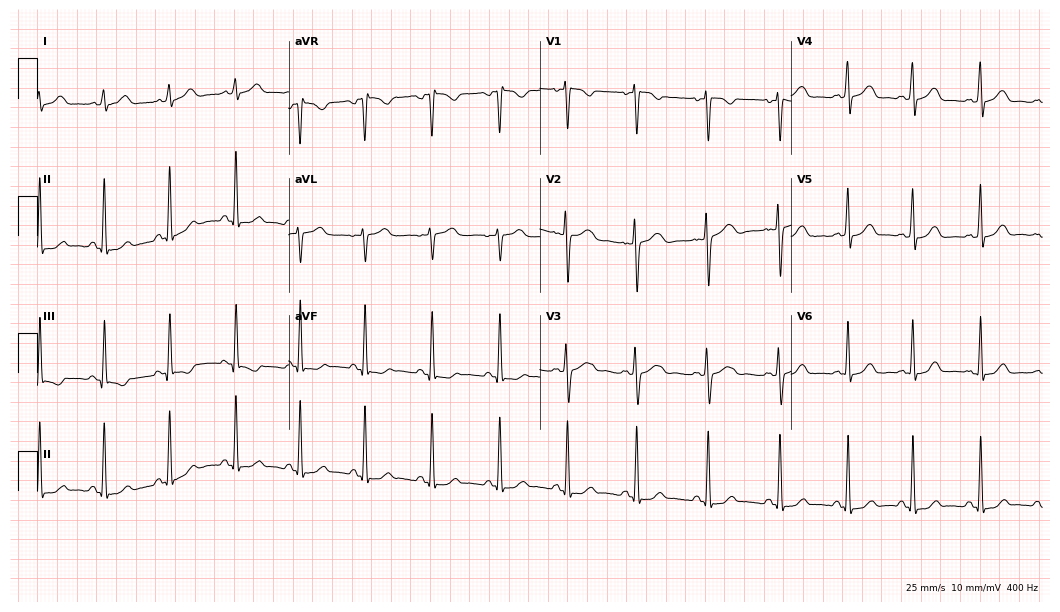
Standard 12-lead ECG recorded from a 27-year-old female patient (10.2-second recording at 400 Hz). Read as a normal ECG.